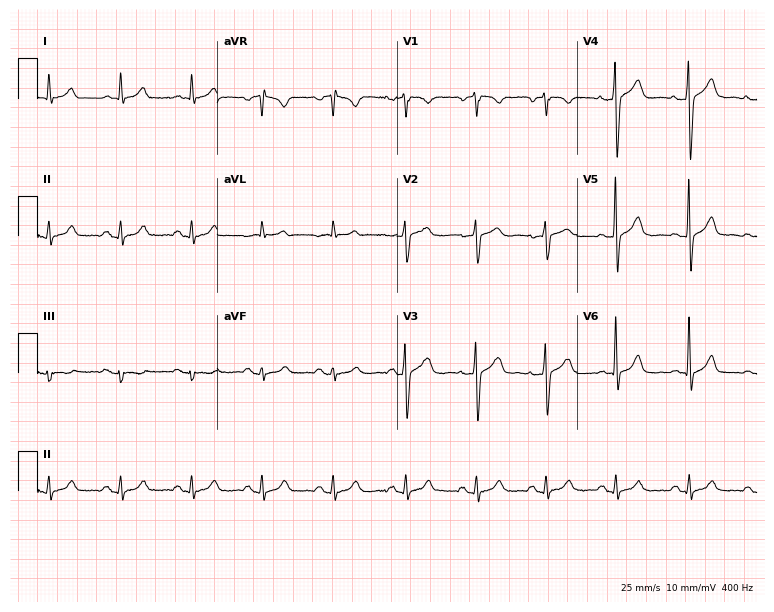
ECG — a man, 61 years old. Labelled as a normal ECG.